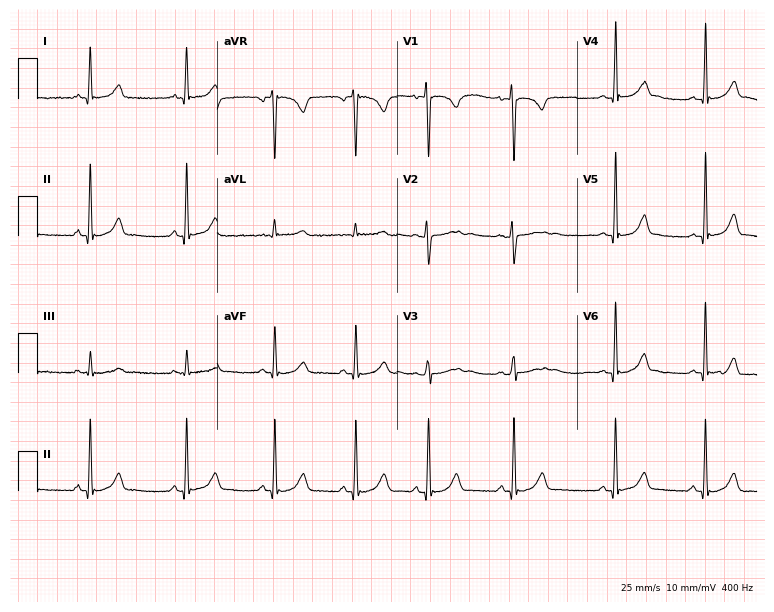
Electrocardiogram (7.3-second recording at 400 Hz), a 21-year-old female patient. Overall reading on record: normal ECG.